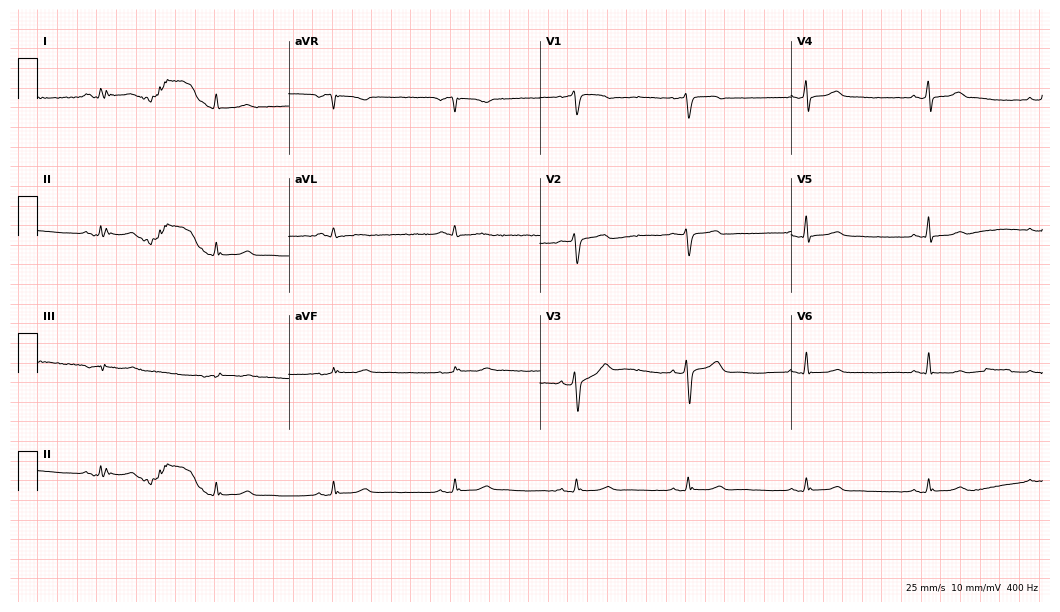
Resting 12-lead electrocardiogram (10.2-second recording at 400 Hz). Patient: a 58-year-old man. The tracing shows sinus bradycardia (a sinus rate of 50 beats per minute or less).